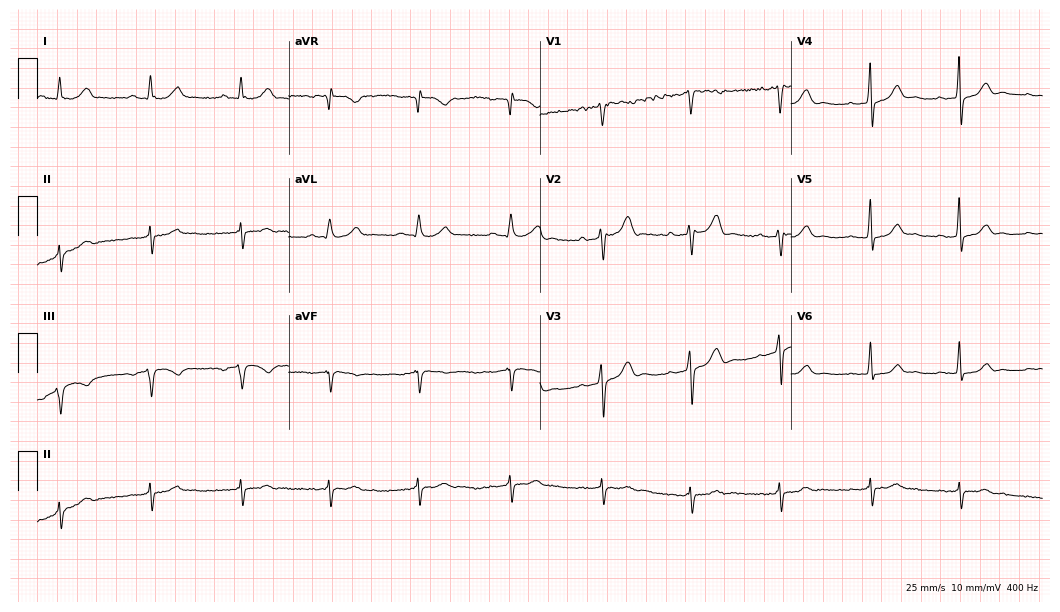
12-lead ECG from a male patient, 53 years old. No first-degree AV block, right bundle branch block, left bundle branch block, sinus bradycardia, atrial fibrillation or sinus tachycardia recorded for this tracing. Findings outside these six are not listed.